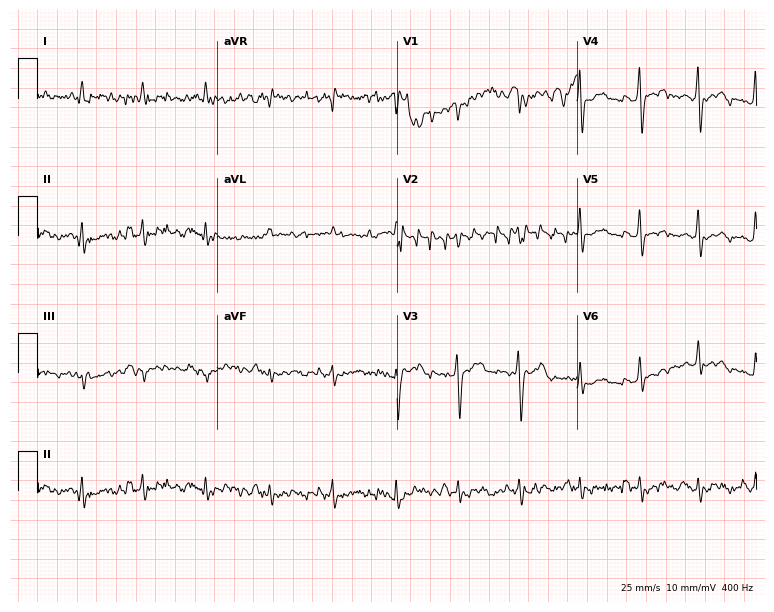
ECG — a man, 38 years old. Screened for six findings — first-degree AV block, right bundle branch block (RBBB), left bundle branch block (LBBB), sinus bradycardia, atrial fibrillation (AF), sinus tachycardia — none is recorded. Other findings, if any, are not listed.